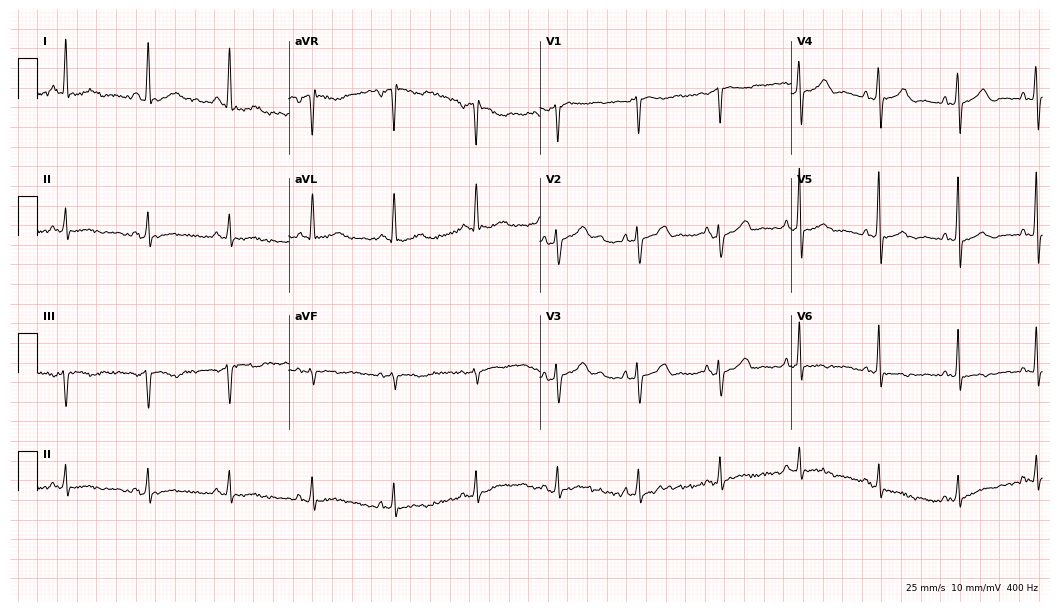
Standard 12-lead ECG recorded from a woman, 59 years old (10.2-second recording at 400 Hz). None of these six findings is recorded: first-degree AV block, right bundle branch block, left bundle branch block, sinus bradycardia, atrial fibrillation, sinus tachycardia. Findings outside these six are not listed.